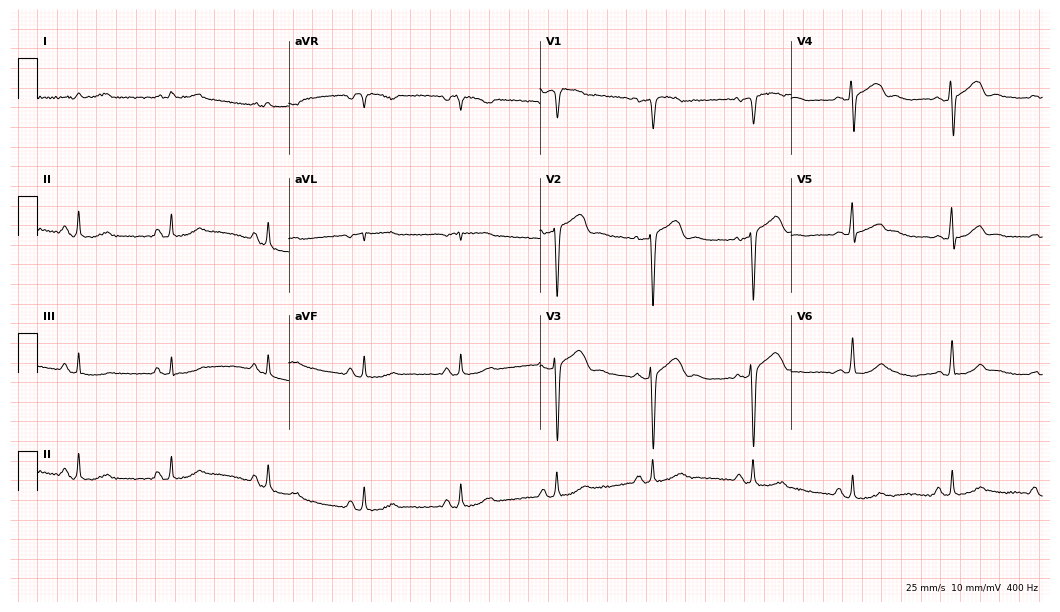
ECG — a 63-year-old male. Screened for six findings — first-degree AV block, right bundle branch block, left bundle branch block, sinus bradycardia, atrial fibrillation, sinus tachycardia — none is recorded.